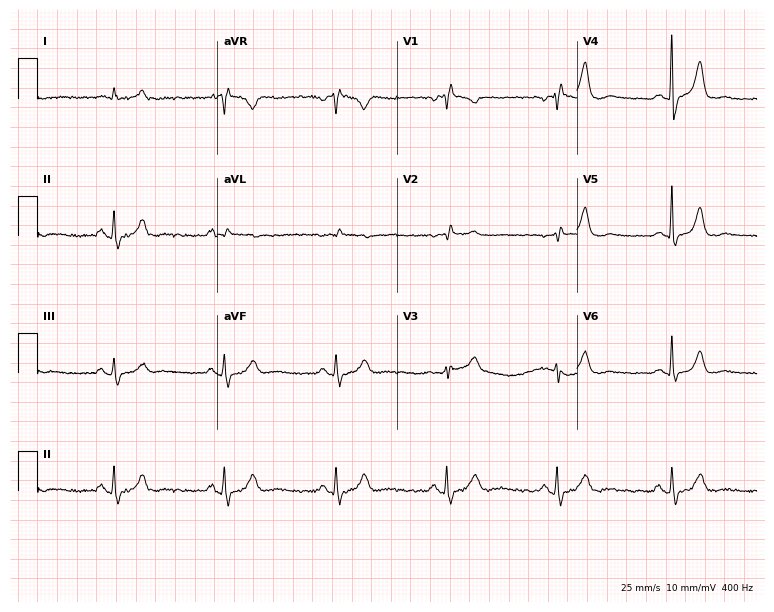
12-lead ECG from a man, 63 years old (7.3-second recording at 400 Hz). Recorded interpretation: within normal limits.